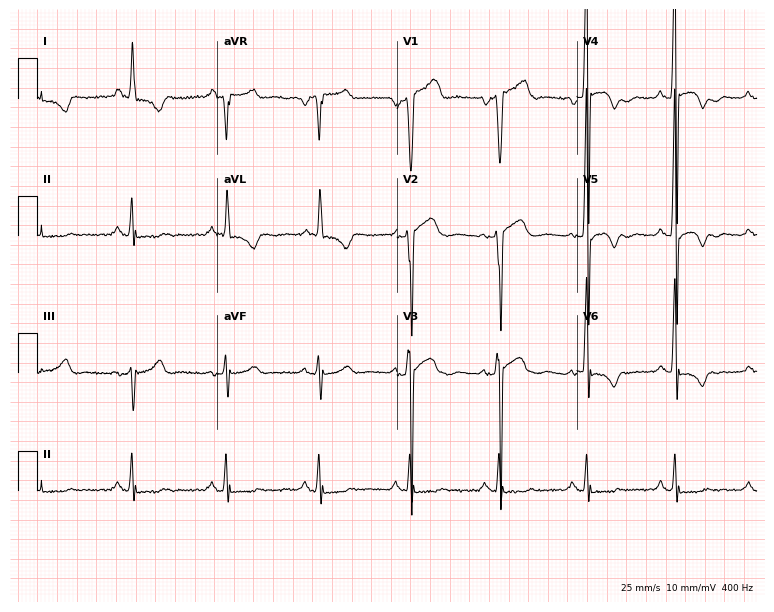
Standard 12-lead ECG recorded from a man, 50 years old (7.3-second recording at 400 Hz). None of these six findings is recorded: first-degree AV block, right bundle branch block, left bundle branch block, sinus bradycardia, atrial fibrillation, sinus tachycardia. Other findings, if any, are not listed.